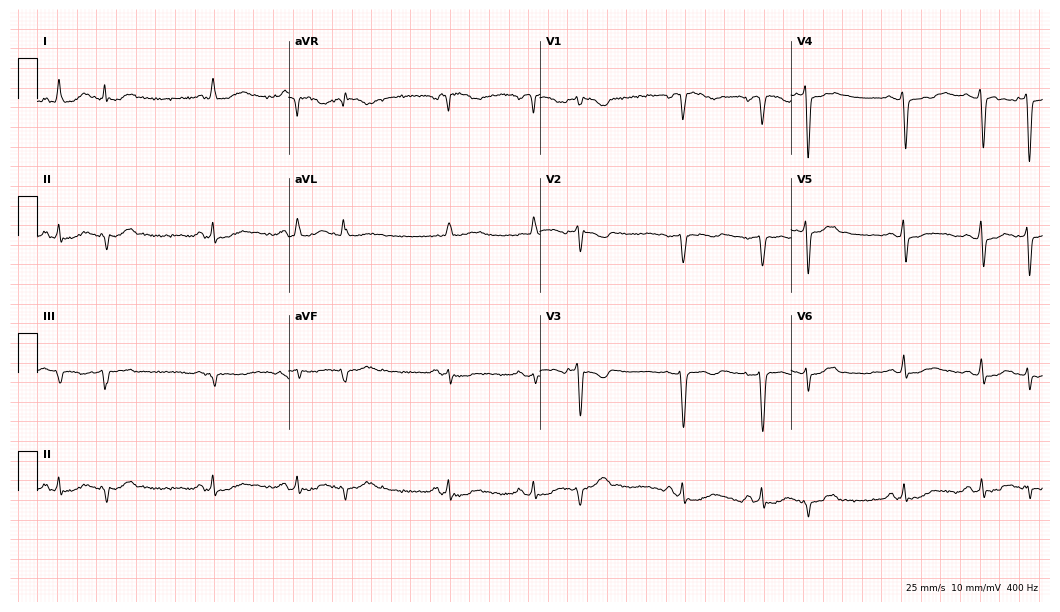
ECG — a woman, 45 years old. Screened for six findings — first-degree AV block, right bundle branch block, left bundle branch block, sinus bradycardia, atrial fibrillation, sinus tachycardia — none is recorded. Other findings, if any, are not listed.